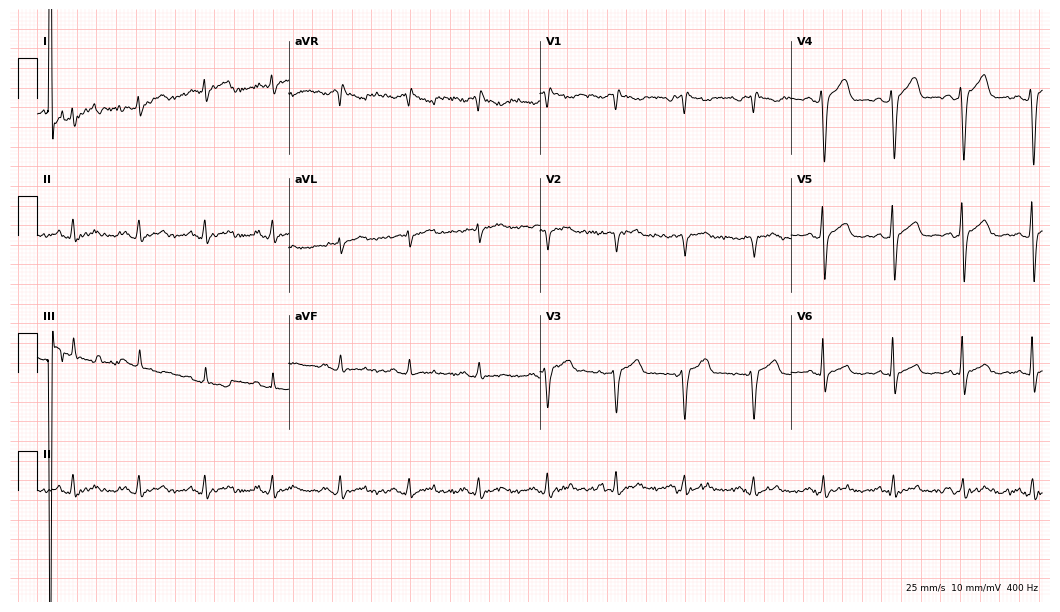
12-lead ECG (10.2-second recording at 400 Hz) from a man, 49 years old. Screened for six findings — first-degree AV block, right bundle branch block, left bundle branch block, sinus bradycardia, atrial fibrillation, sinus tachycardia — none is recorded.